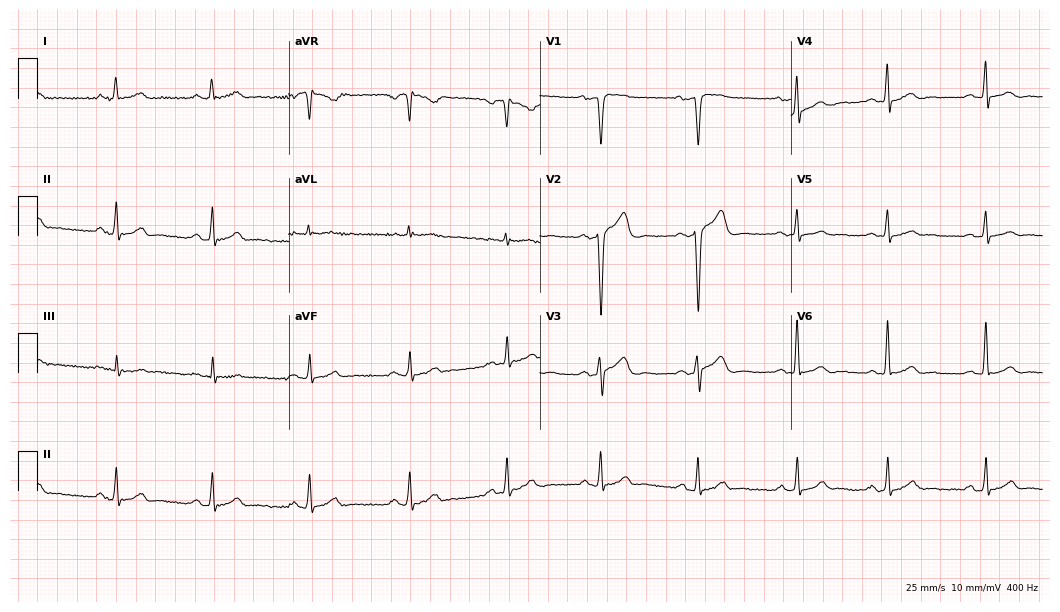
Resting 12-lead electrocardiogram. Patient: a 45-year-old male. Read as a normal ECG.